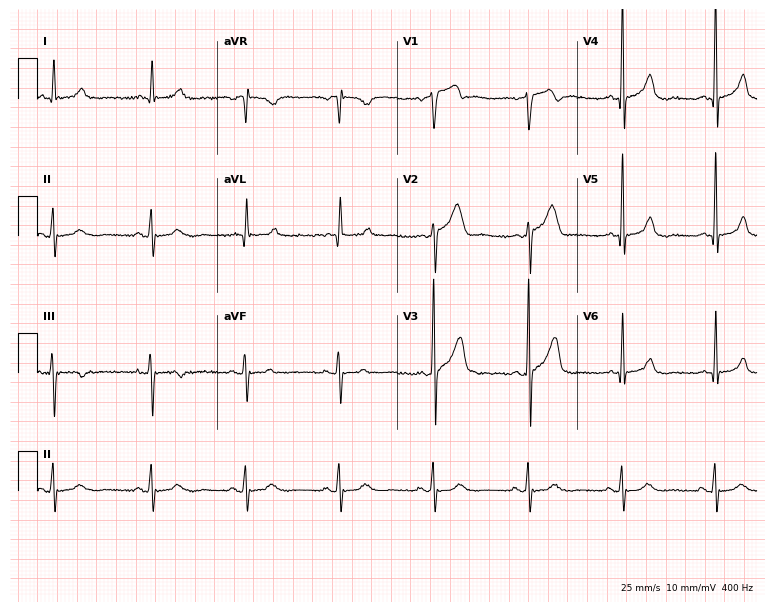
12-lead ECG (7.3-second recording at 400 Hz) from a 53-year-old male patient. Labelled as a normal ECG.